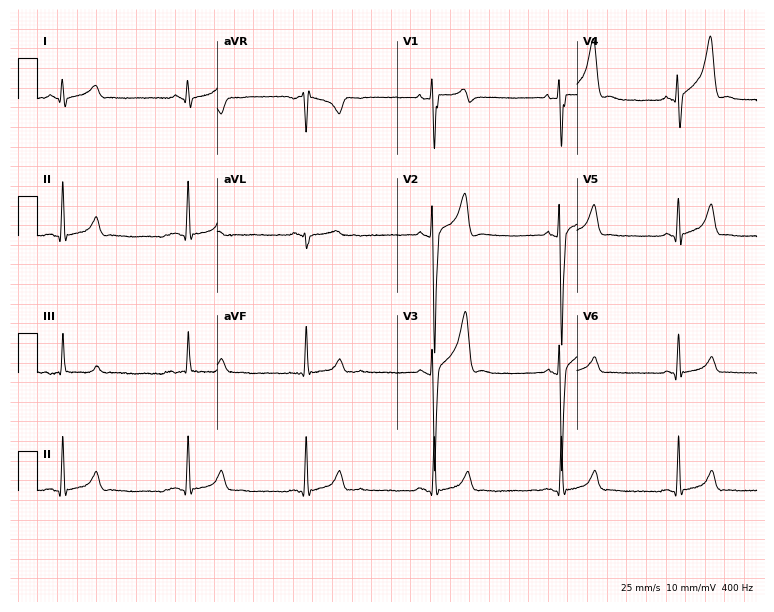
ECG — a 28-year-old male. Labelled as a normal ECG.